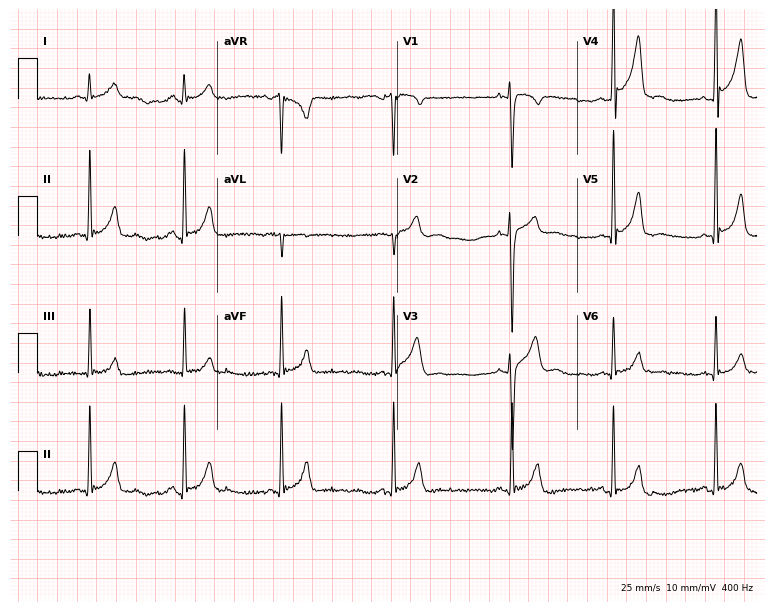
12-lead ECG from a male, 19 years old (7.3-second recording at 400 Hz). No first-degree AV block, right bundle branch block (RBBB), left bundle branch block (LBBB), sinus bradycardia, atrial fibrillation (AF) or sinus tachycardia recorded for this tracing.